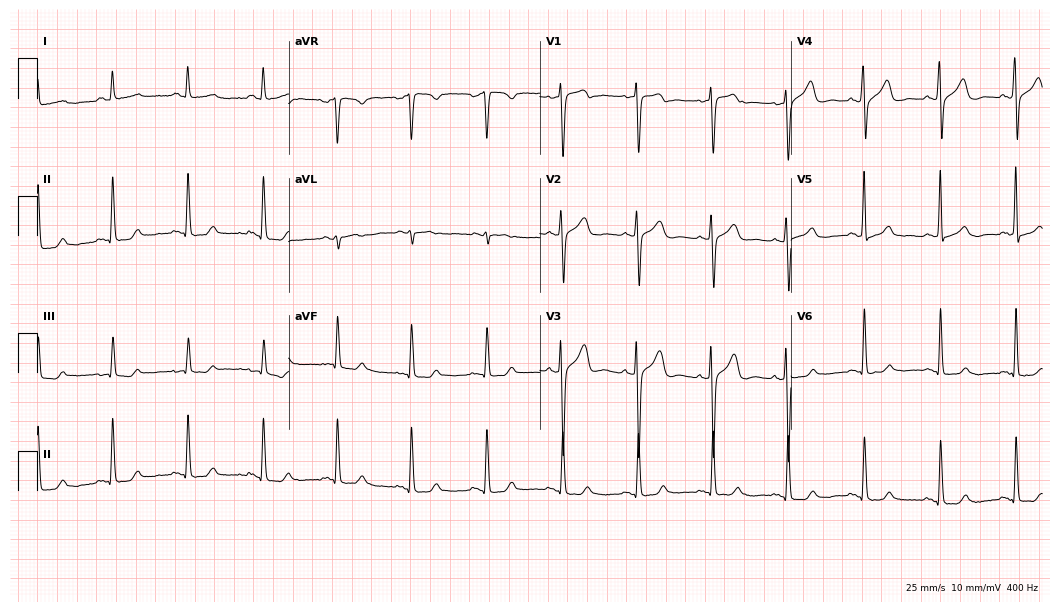
12-lead ECG from a 68-year-old man (10.2-second recording at 400 Hz). No first-degree AV block, right bundle branch block (RBBB), left bundle branch block (LBBB), sinus bradycardia, atrial fibrillation (AF) or sinus tachycardia recorded for this tracing.